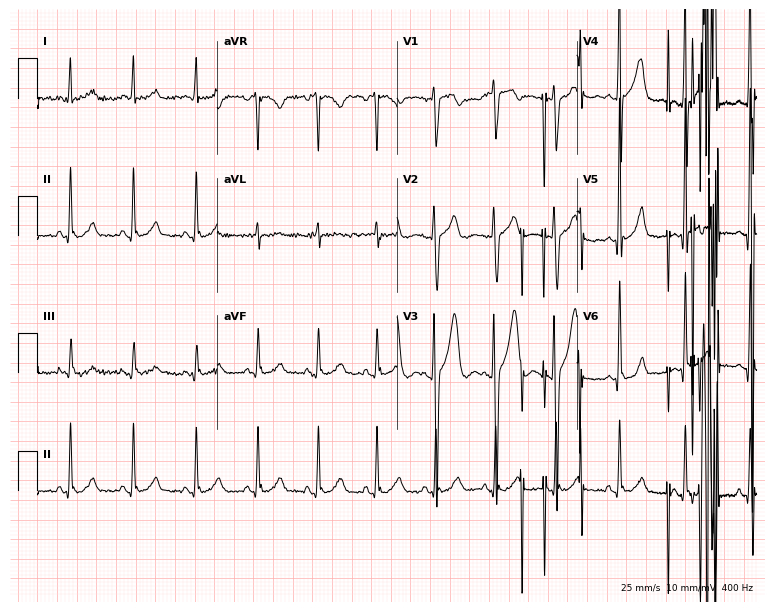
12-lead ECG from a 21-year-old male patient. Labelled as a normal ECG.